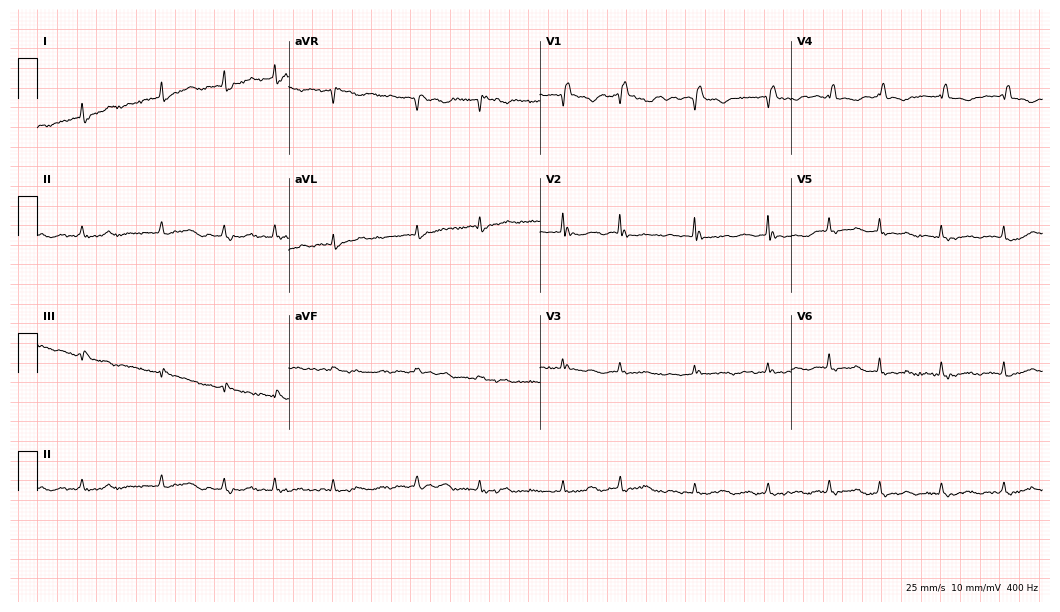
Standard 12-lead ECG recorded from an 85-year-old woman (10.2-second recording at 400 Hz). None of these six findings is recorded: first-degree AV block, right bundle branch block, left bundle branch block, sinus bradycardia, atrial fibrillation, sinus tachycardia.